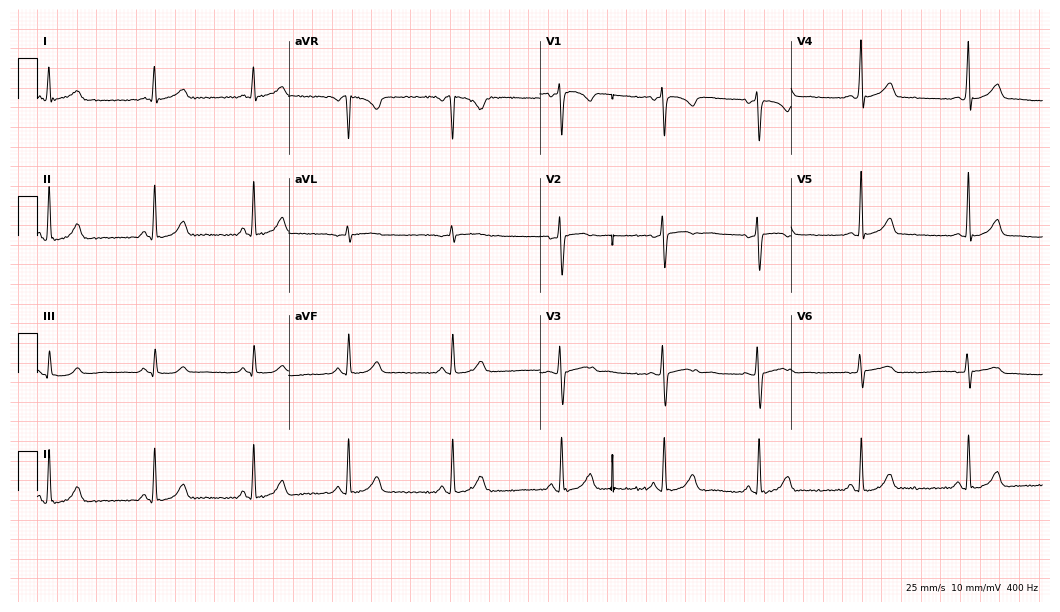
Resting 12-lead electrocardiogram (10.2-second recording at 400 Hz). Patient: a female, 28 years old. Read as a normal ECG.